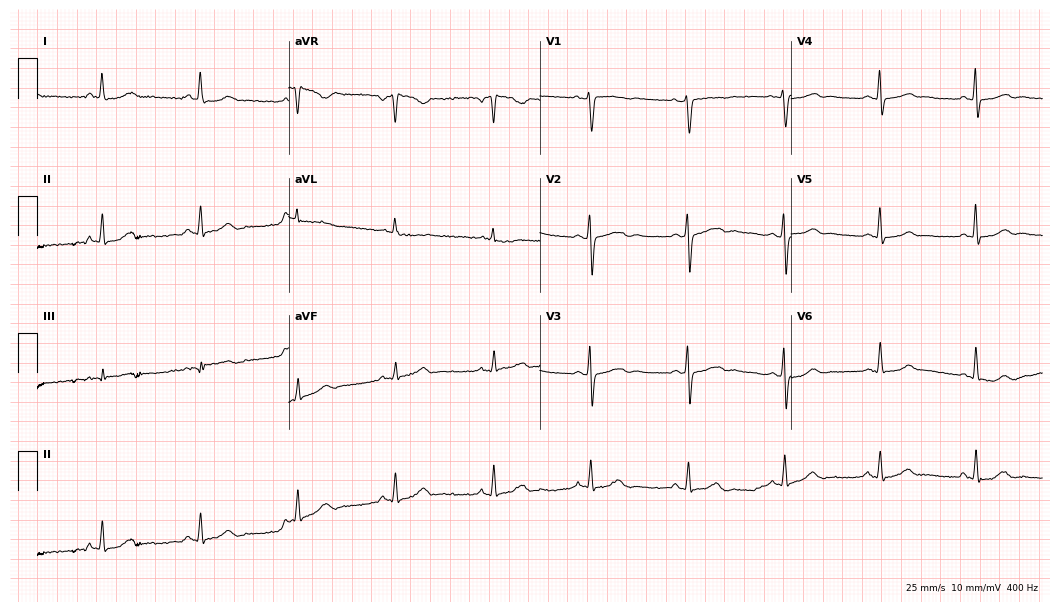
Resting 12-lead electrocardiogram (10.2-second recording at 400 Hz). Patient: a female, 41 years old. Read as a normal ECG.